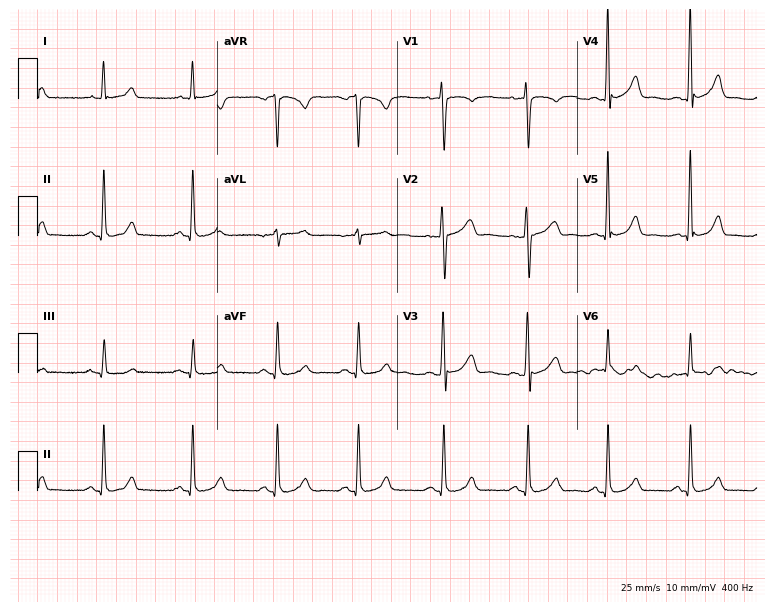
ECG (7.3-second recording at 400 Hz) — a woman, 42 years old. Screened for six findings — first-degree AV block, right bundle branch block (RBBB), left bundle branch block (LBBB), sinus bradycardia, atrial fibrillation (AF), sinus tachycardia — none is recorded. Findings outside these six are not listed.